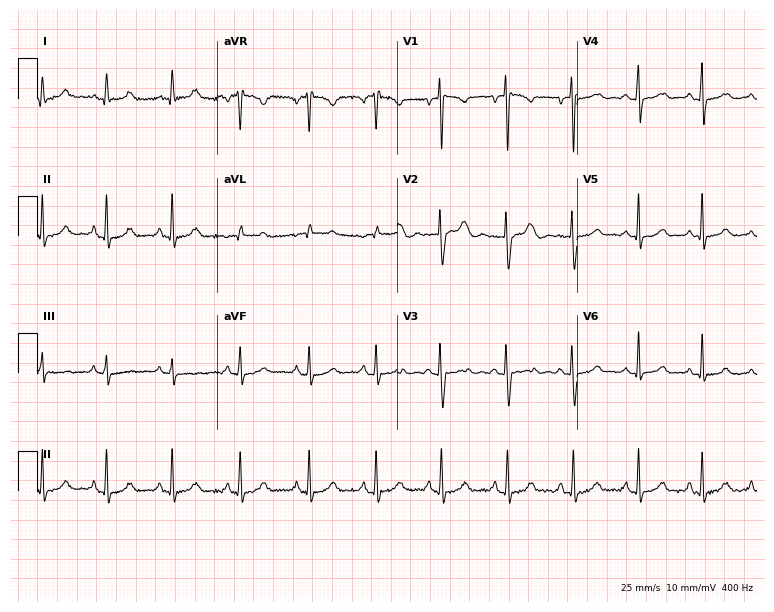
Resting 12-lead electrocardiogram (7.3-second recording at 400 Hz). Patient: a 34-year-old female. Read as a normal ECG.